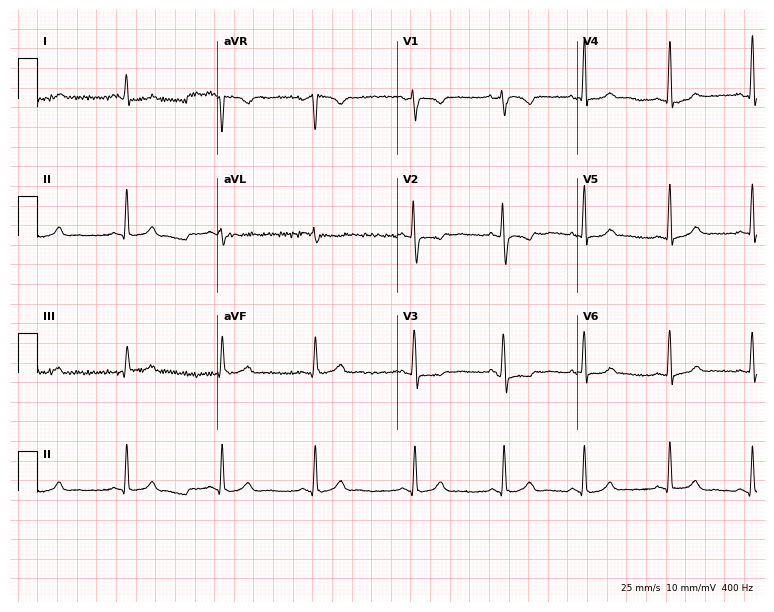
Standard 12-lead ECG recorded from a woman, 22 years old. Read as a normal ECG.